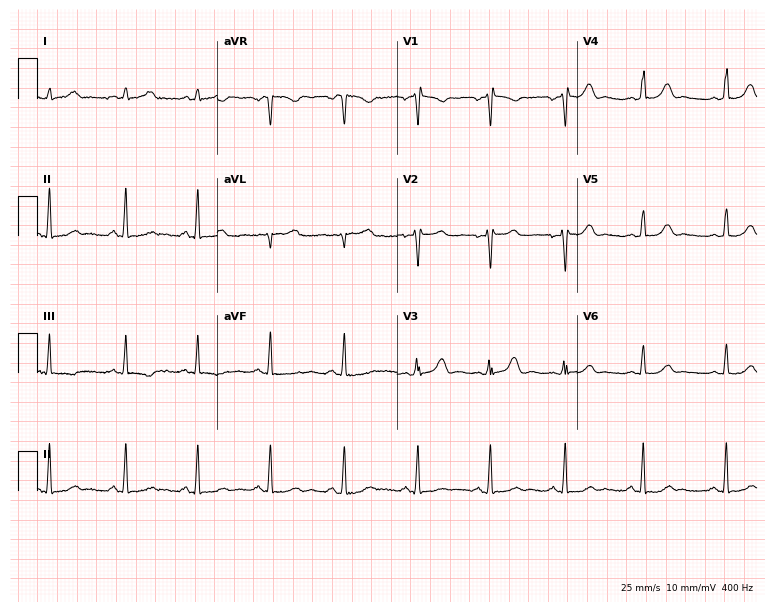
Resting 12-lead electrocardiogram (7.3-second recording at 400 Hz). Patient: a woman, 30 years old. None of these six findings is recorded: first-degree AV block, right bundle branch block, left bundle branch block, sinus bradycardia, atrial fibrillation, sinus tachycardia. Only these six findings were labelled.